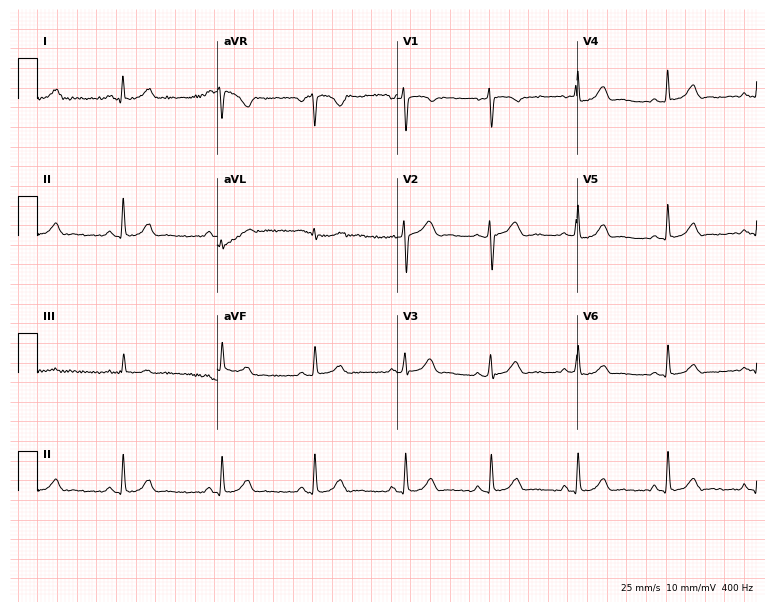
12-lead ECG (7.3-second recording at 400 Hz) from a female patient, 27 years old. Screened for six findings — first-degree AV block, right bundle branch block, left bundle branch block, sinus bradycardia, atrial fibrillation, sinus tachycardia — none is recorded.